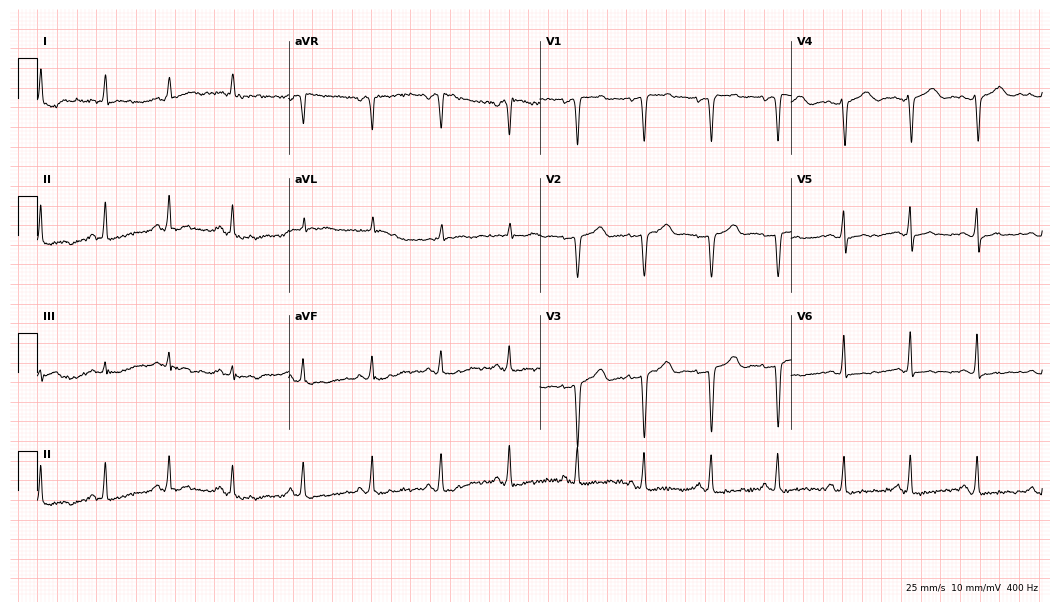
ECG (10.2-second recording at 400 Hz) — a 44-year-old female patient. Screened for six findings — first-degree AV block, right bundle branch block, left bundle branch block, sinus bradycardia, atrial fibrillation, sinus tachycardia — none is recorded.